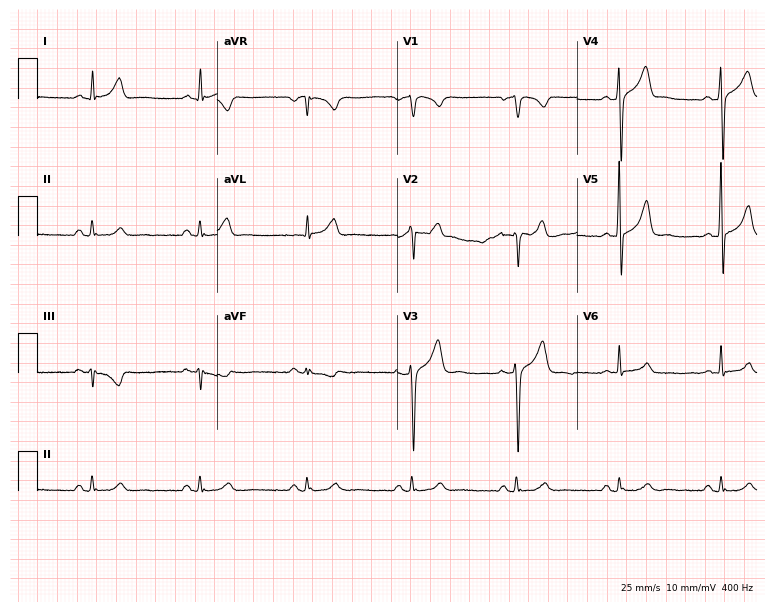
Standard 12-lead ECG recorded from a male, 45 years old (7.3-second recording at 400 Hz). None of these six findings is recorded: first-degree AV block, right bundle branch block, left bundle branch block, sinus bradycardia, atrial fibrillation, sinus tachycardia. Findings outside these six are not listed.